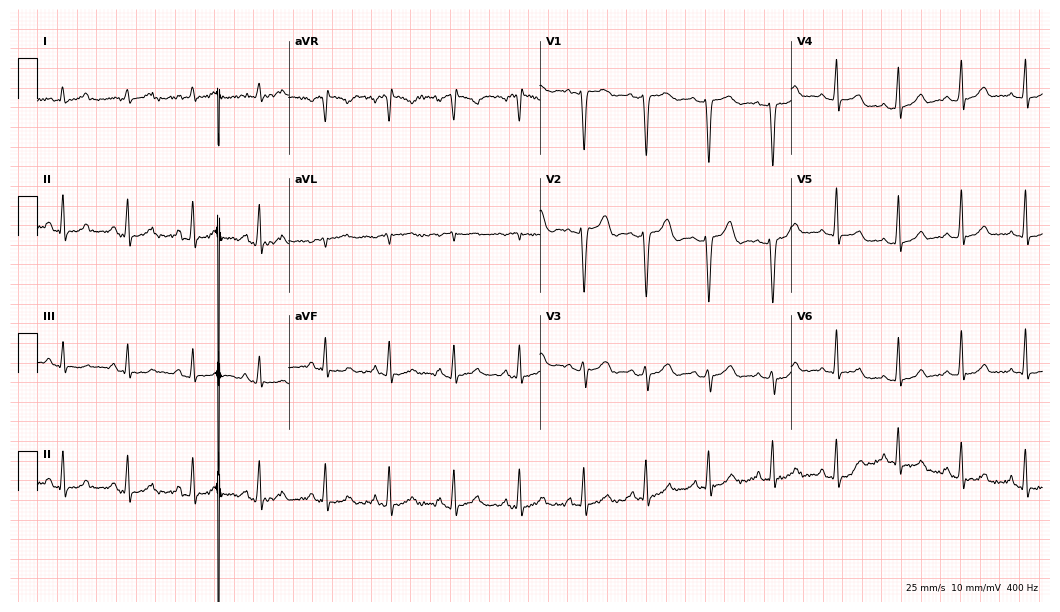
Resting 12-lead electrocardiogram. Patient: a 25-year-old female. None of these six findings is recorded: first-degree AV block, right bundle branch block, left bundle branch block, sinus bradycardia, atrial fibrillation, sinus tachycardia. Only these six findings were labelled.